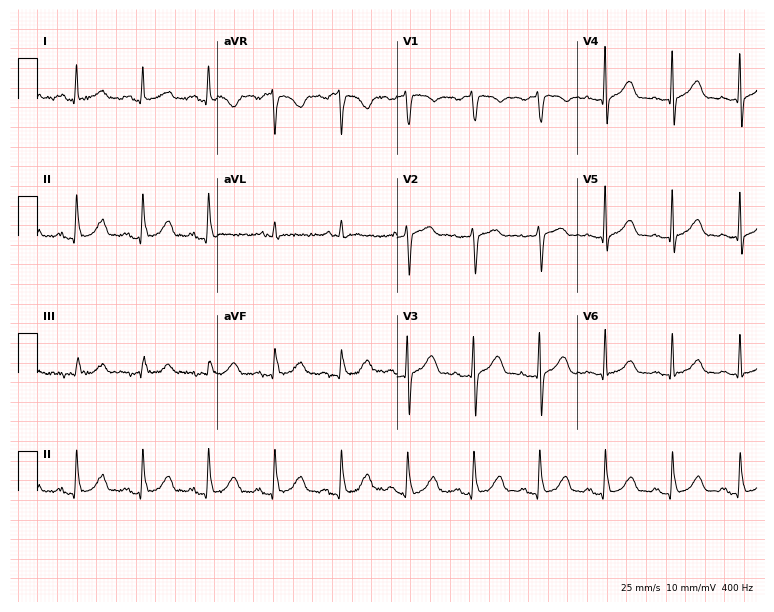
12-lead ECG from a female patient, 79 years old. Labelled as a normal ECG.